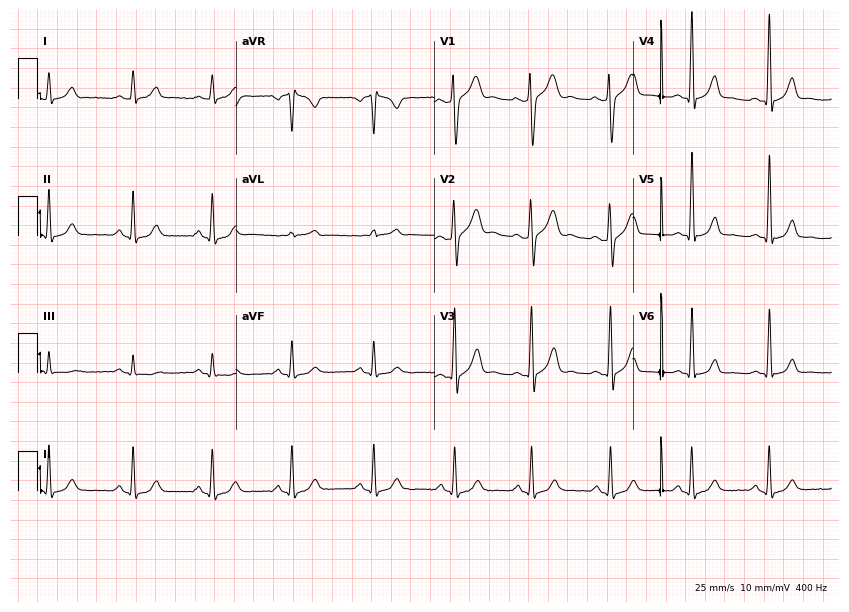
ECG — a 32-year-old male patient. Labelled as a normal ECG.